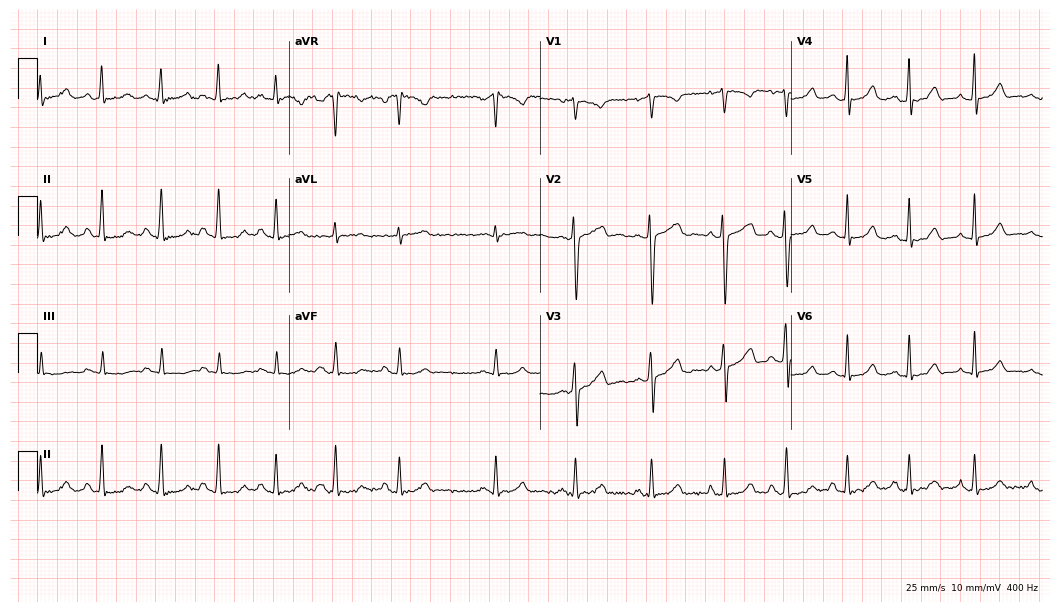
12-lead ECG from a female patient, 23 years old (10.2-second recording at 400 Hz). No first-degree AV block, right bundle branch block (RBBB), left bundle branch block (LBBB), sinus bradycardia, atrial fibrillation (AF) or sinus tachycardia recorded for this tracing.